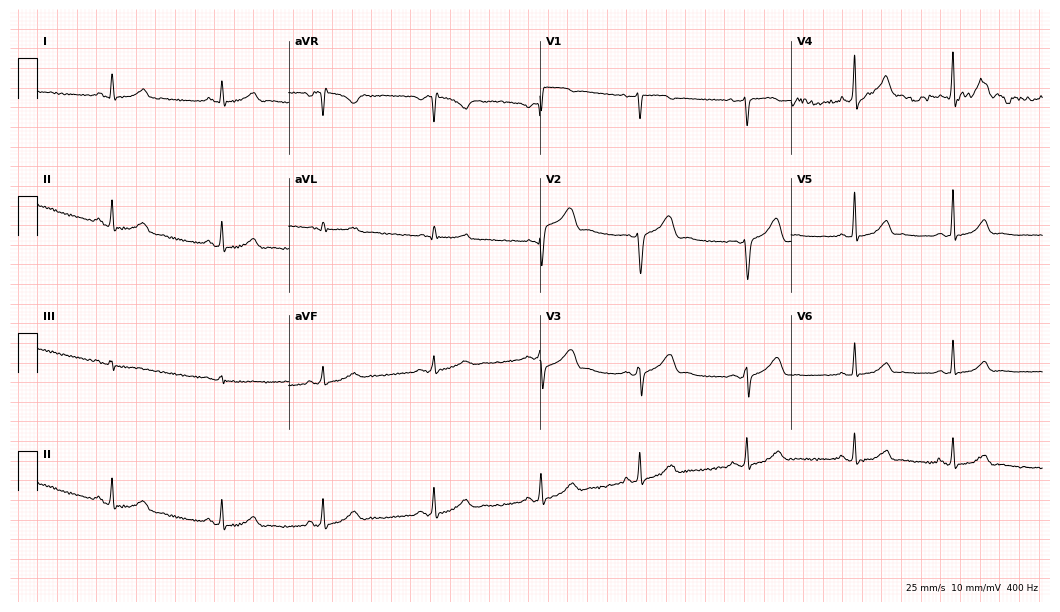
12-lead ECG from a 33-year-old woman. Labelled as a normal ECG.